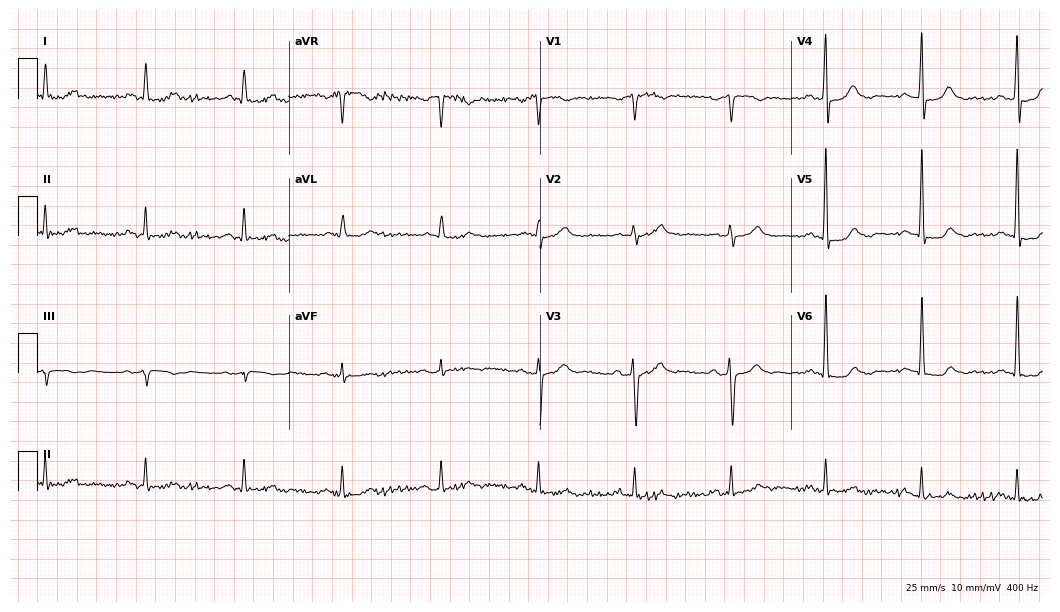
12-lead ECG from a male, 82 years old. Recorded interpretation: within normal limits.